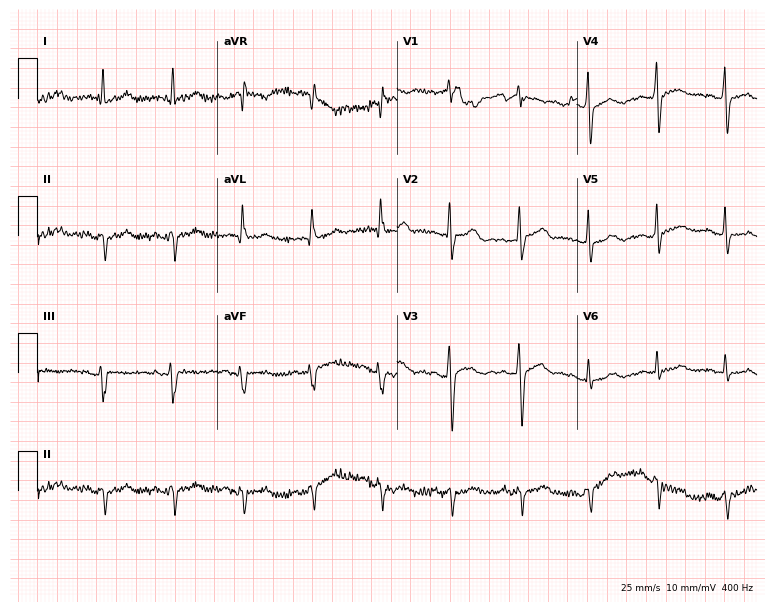
Standard 12-lead ECG recorded from a man, 39 years old. None of these six findings is recorded: first-degree AV block, right bundle branch block (RBBB), left bundle branch block (LBBB), sinus bradycardia, atrial fibrillation (AF), sinus tachycardia.